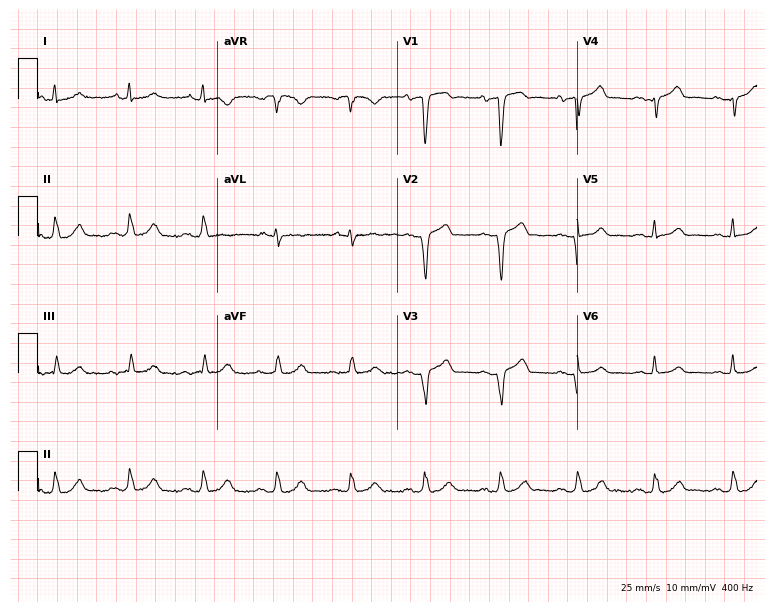
12-lead ECG (7.3-second recording at 400 Hz) from a 58-year-old male. Screened for six findings — first-degree AV block, right bundle branch block, left bundle branch block, sinus bradycardia, atrial fibrillation, sinus tachycardia — none is recorded. Findings outside these six are not listed.